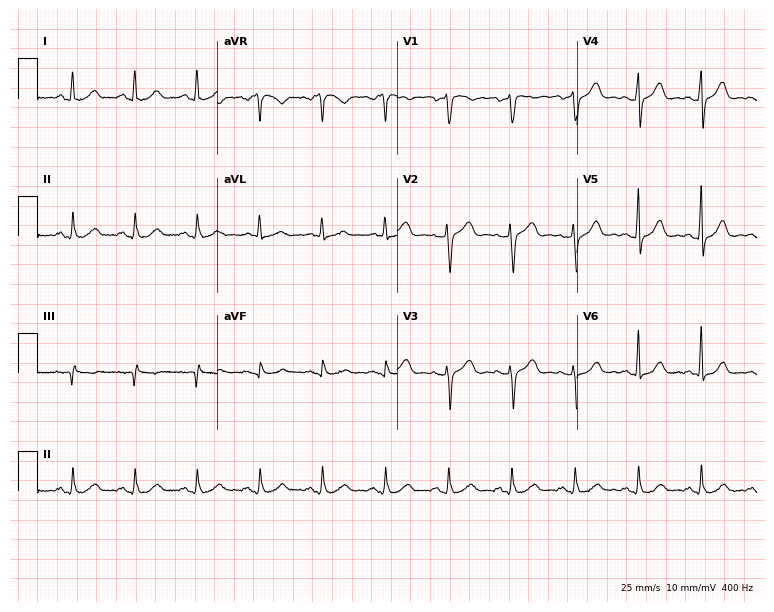
Standard 12-lead ECG recorded from a woman, 65 years old. Read as a normal ECG.